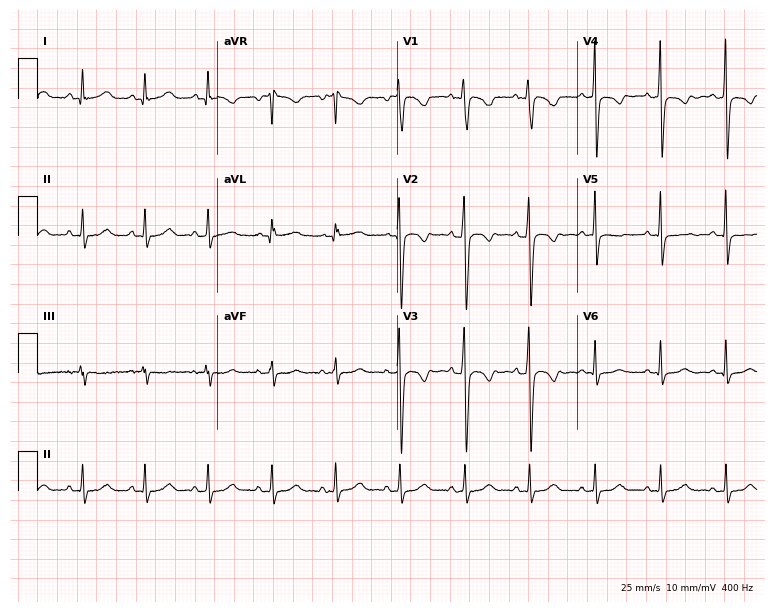
Standard 12-lead ECG recorded from a 31-year-old female patient. None of these six findings is recorded: first-degree AV block, right bundle branch block (RBBB), left bundle branch block (LBBB), sinus bradycardia, atrial fibrillation (AF), sinus tachycardia.